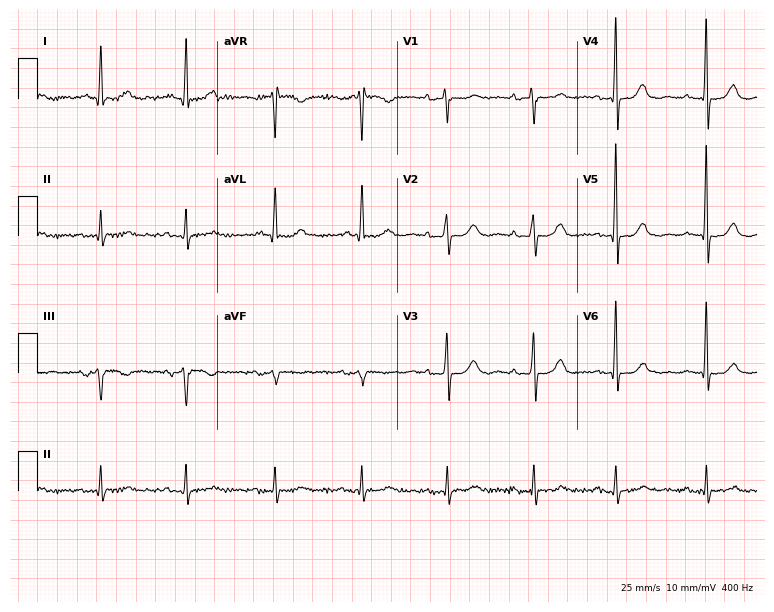
Electrocardiogram (7.3-second recording at 400 Hz), an 83-year-old woman. Of the six screened findings (first-degree AV block, right bundle branch block, left bundle branch block, sinus bradycardia, atrial fibrillation, sinus tachycardia), none is recorded.